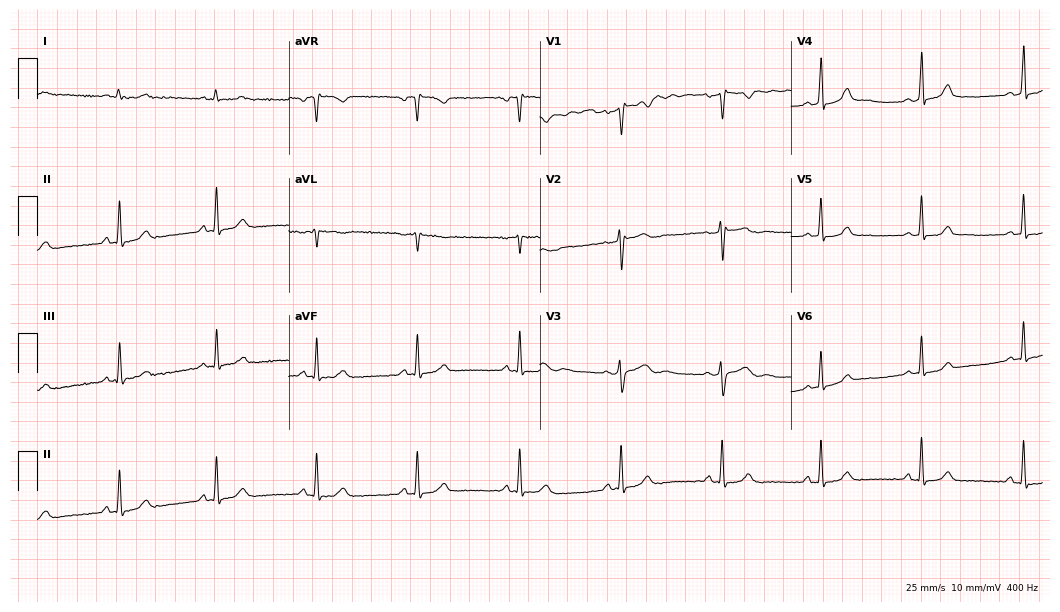
ECG — a 29-year-old woman. Labelled as a normal ECG.